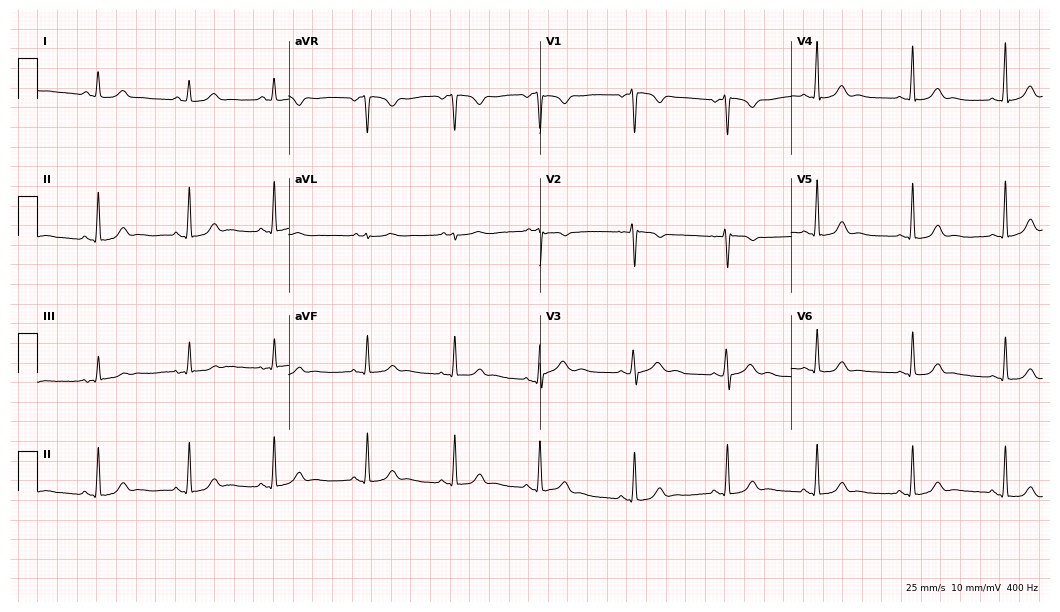
12-lead ECG from a 30-year-old woman (10.2-second recording at 400 Hz). Recorded interpretation: within normal limits.